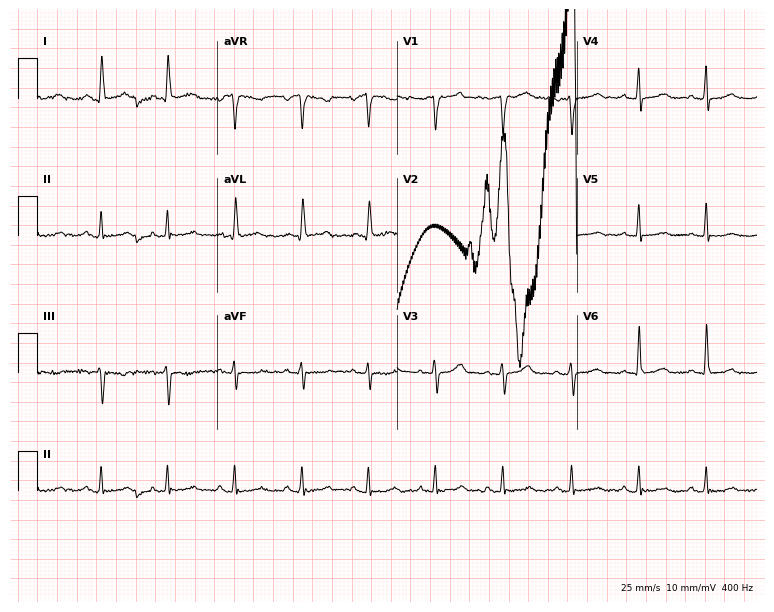
Resting 12-lead electrocardiogram. Patient: a 44-year-old female. None of these six findings is recorded: first-degree AV block, right bundle branch block (RBBB), left bundle branch block (LBBB), sinus bradycardia, atrial fibrillation (AF), sinus tachycardia.